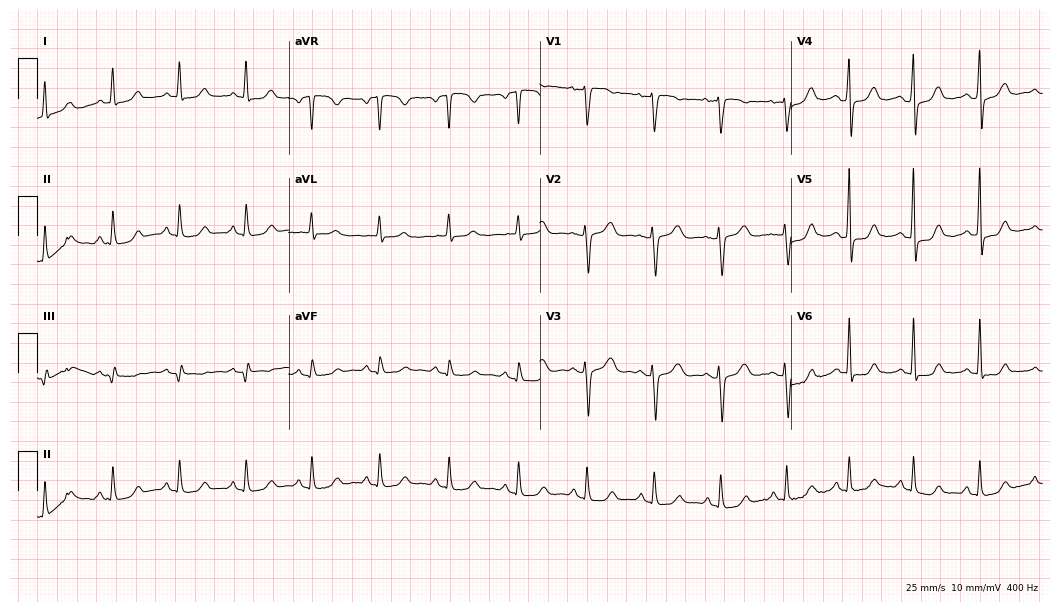
12-lead ECG from a 54-year-old female patient. Labelled as a normal ECG.